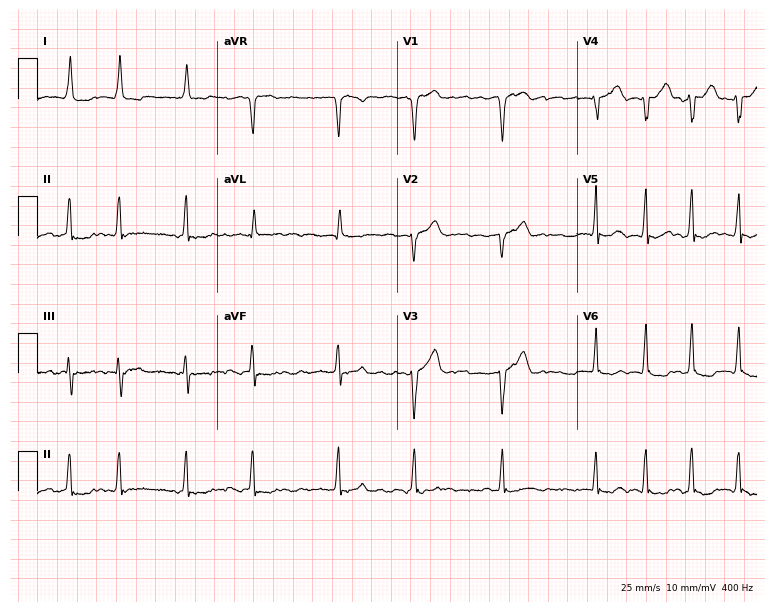
Standard 12-lead ECG recorded from a female, 84 years old (7.3-second recording at 400 Hz). The tracing shows atrial fibrillation.